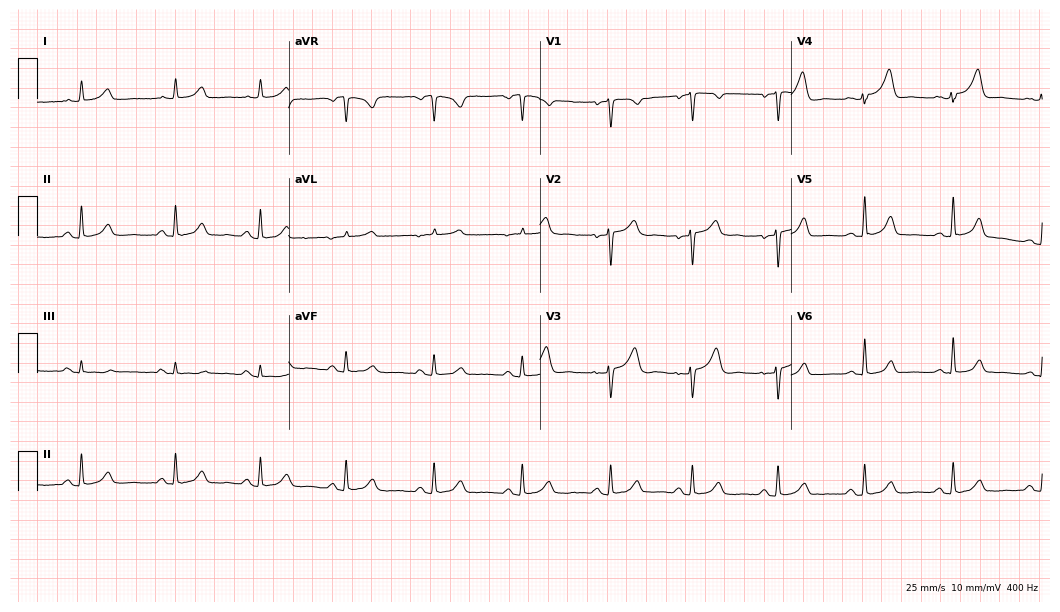
ECG — a 52-year-old female patient. Labelled as a normal ECG.